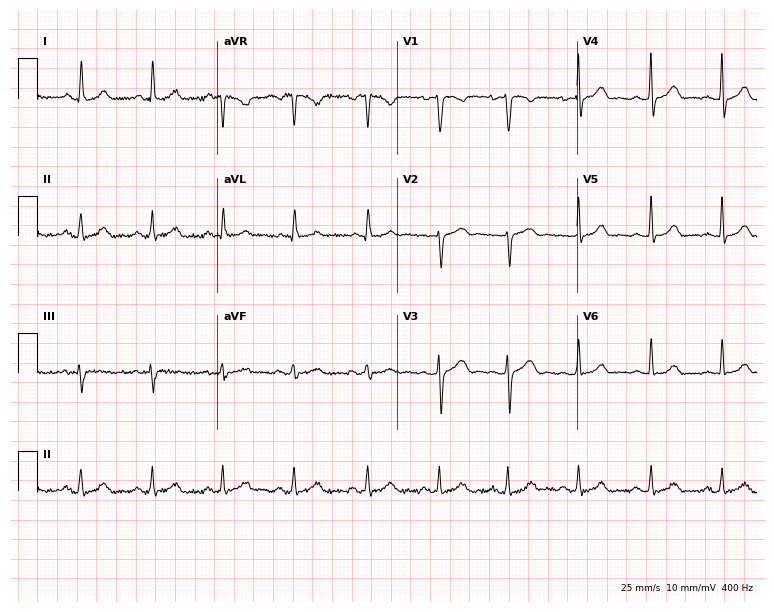
12-lead ECG from a 33-year-old woman (7.3-second recording at 400 Hz). No first-degree AV block, right bundle branch block (RBBB), left bundle branch block (LBBB), sinus bradycardia, atrial fibrillation (AF) or sinus tachycardia recorded for this tracing. Findings outside these six are not listed.